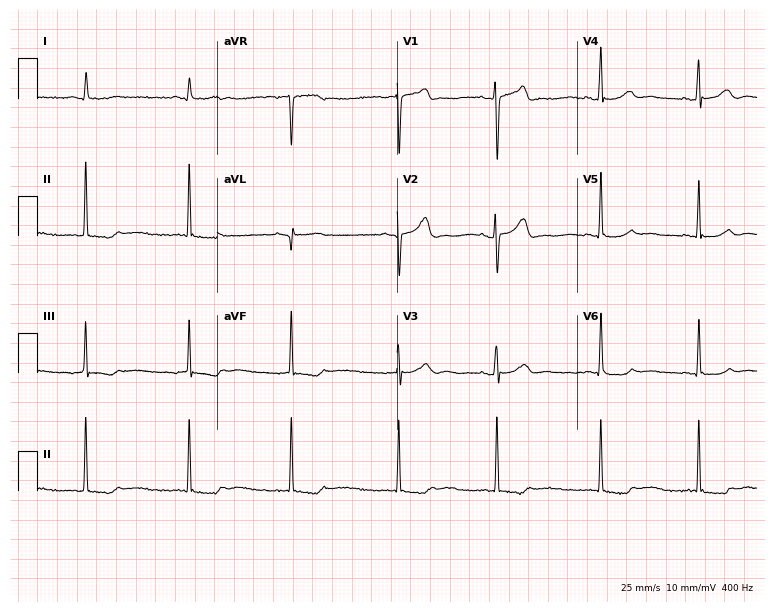
12-lead ECG from a 54-year-old male. No first-degree AV block, right bundle branch block, left bundle branch block, sinus bradycardia, atrial fibrillation or sinus tachycardia recorded for this tracing.